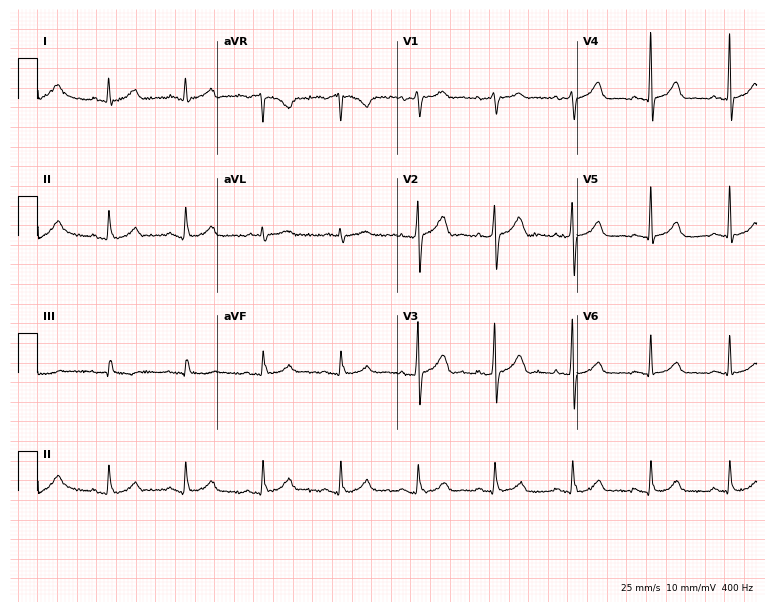
ECG — a 75-year-old man. Screened for six findings — first-degree AV block, right bundle branch block, left bundle branch block, sinus bradycardia, atrial fibrillation, sinus tachycardia — none is recorded.